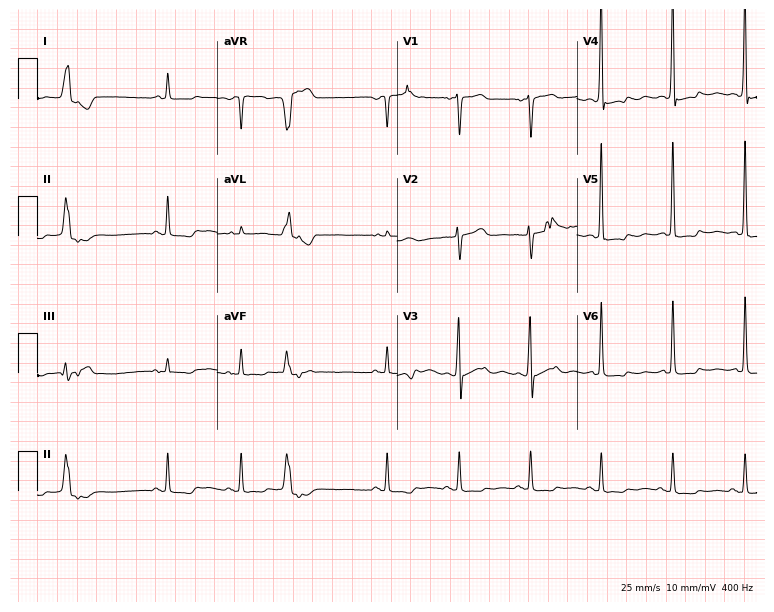
Standard 12-lead ECG recorded from an 83-year-old female patient (7.3-second recording at 400 Hz). None of these six findings is recorded: first-degree AV block, right bundle branch block (RBBB), left bundle branch block (LBBB), sinus bradycardia, atrial fibrillation (AF), sinus tachycardia. Only these six findings were labelled.